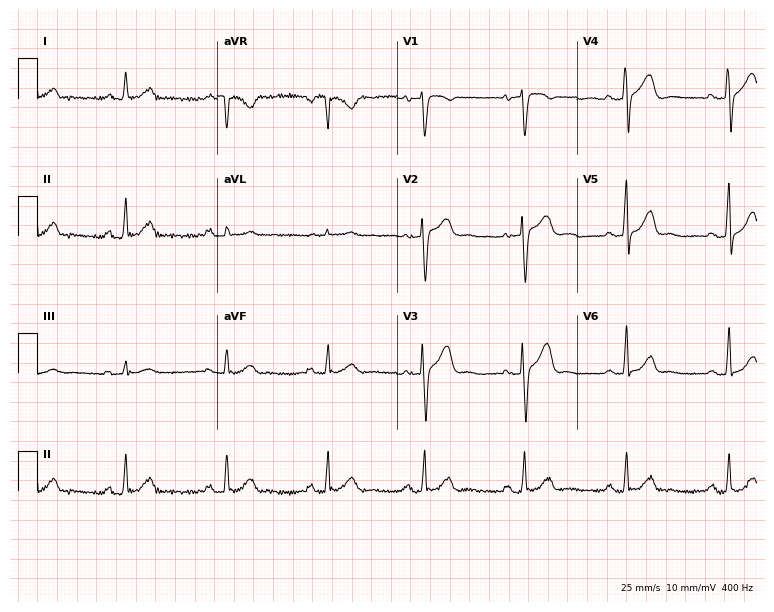
Standard 12-lead ECG recorded from a woman, 41 years old. Read as a normal ECG.